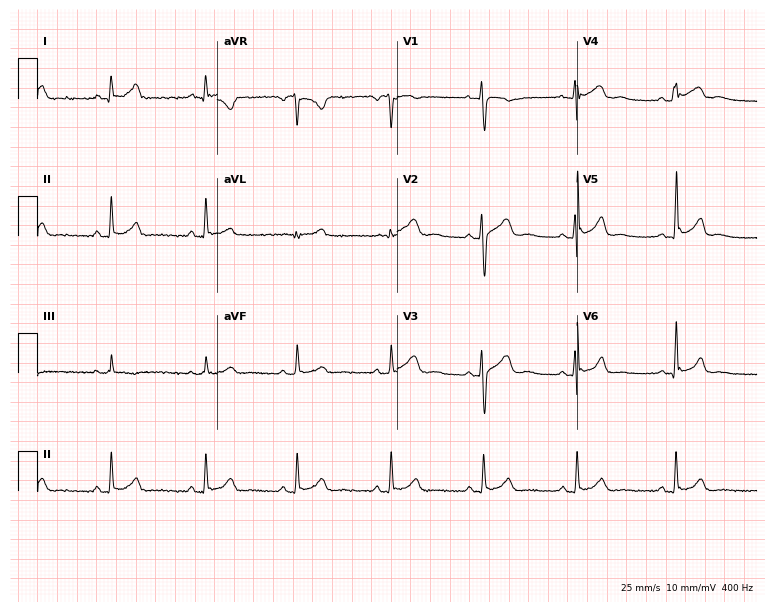
ECG (7.3-second recording at 400 Hz) — a female patient, 23 years old. Screened for six findings — first-degree AV block, right bundle branch block, left bundle branch block, sinus bradycardia, atrial fibrillation, sinus tachycardia — none is recorded. Other findings, if any, are not listed.